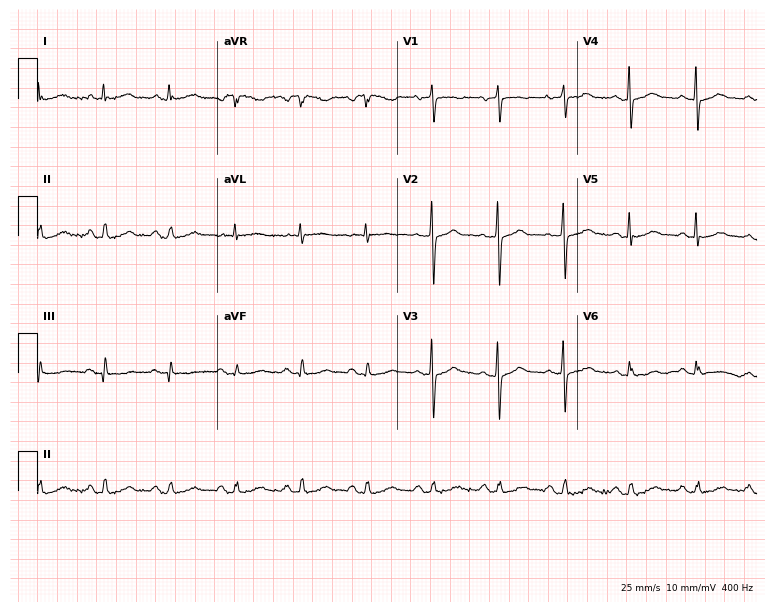
Electrocardiogram, an 82-year-old female. Overall reading on record: normal ECG.